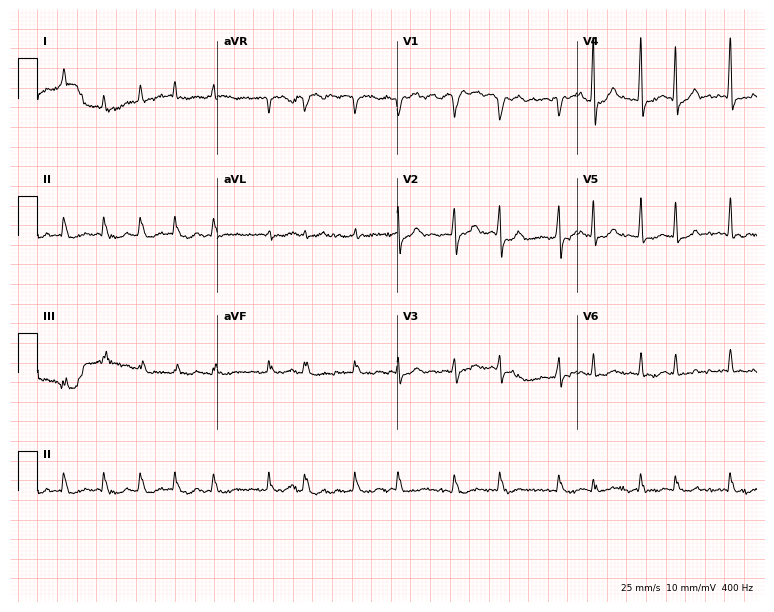
12-lead ECG from a male patient, 80 years old. Shows atrial fibrillation (AF).